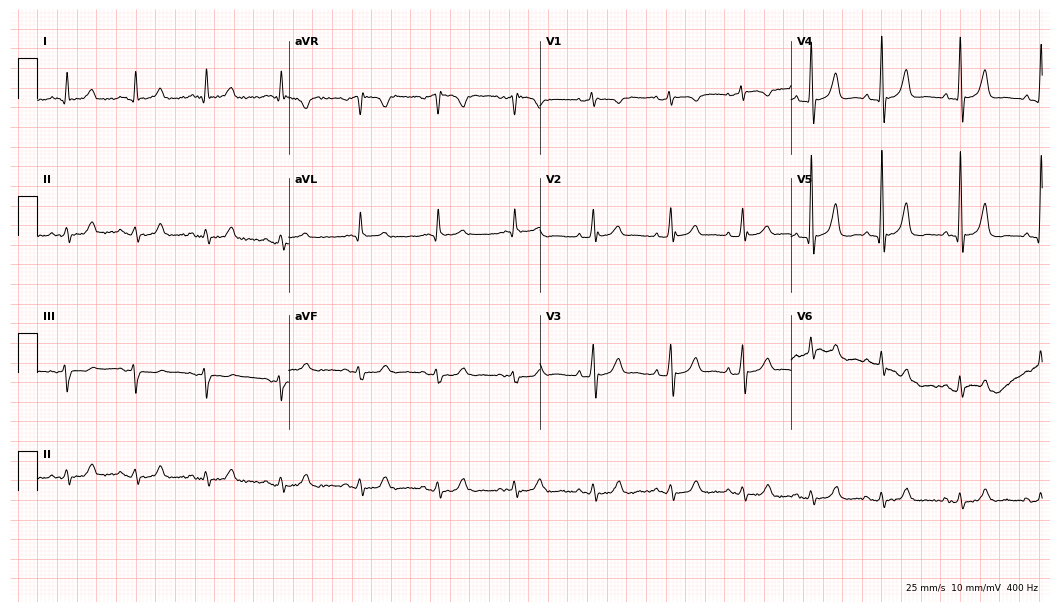
12-lead ECG from an 84-year-old man (10.2-second recording at 400 Hz). Recorded interpretation: within normal limits.